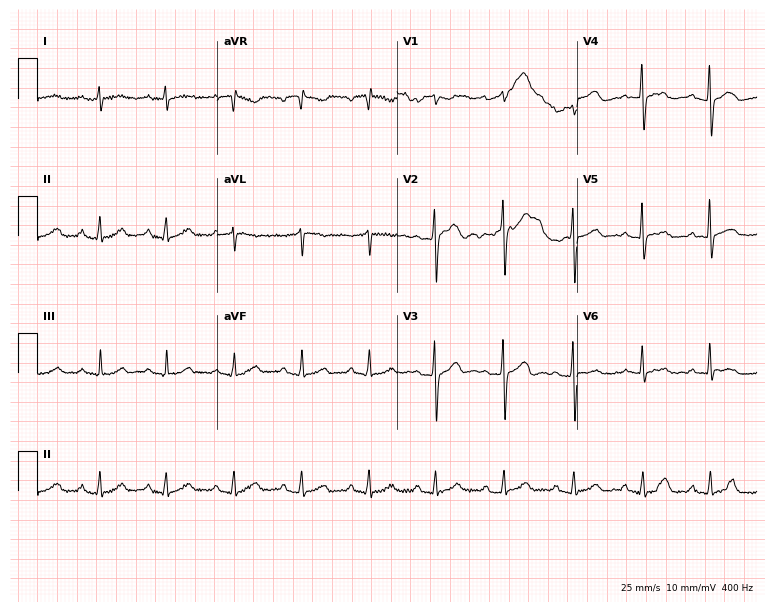
12-lead ECG from a 51-year-old female. No first-degree AV block, right bundle branch block, left bundle branch block, sinus bradycardia, atrial fibrillation or sinus tachycardia recorded for this tracing.